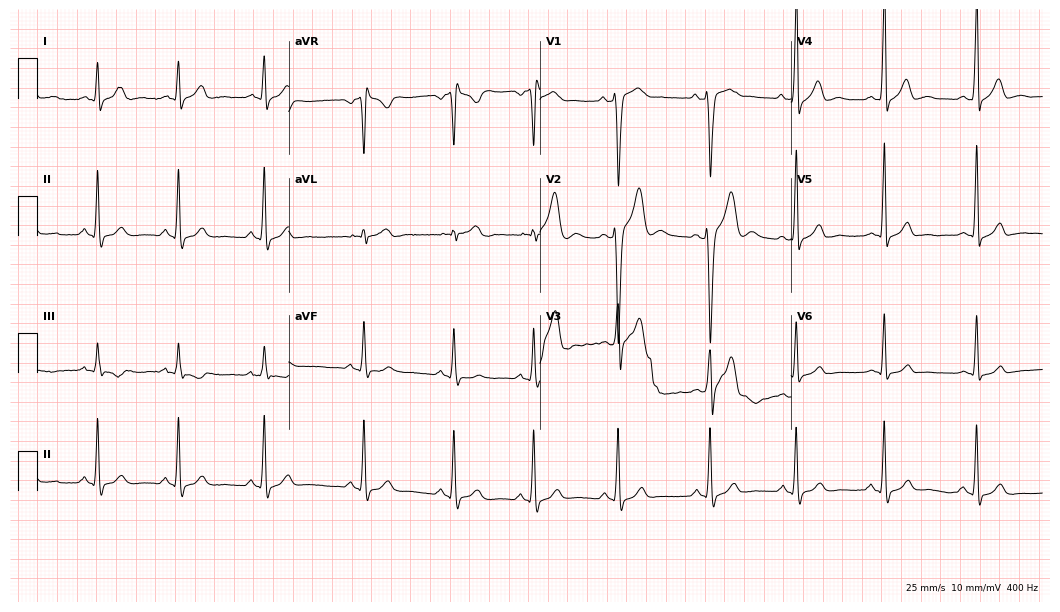
Standard 12-lead ECG recorded from a 22-year-old male. None of these six findings is recorded: first-degree AV block, right bundle branch block (RBBB), left bundle branch block (LBBB), sinus bradycardia, atrial fibrillation (AF), sinus tachycardia.